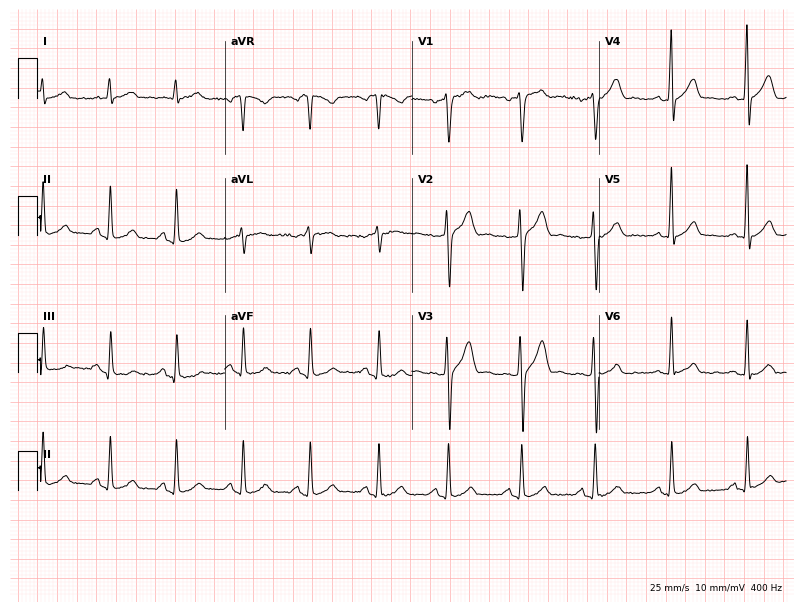
12-lead ECG (7.6-second recording at 400 Hz) from a male patient, 17 years old. Labelled as a normal ECG.